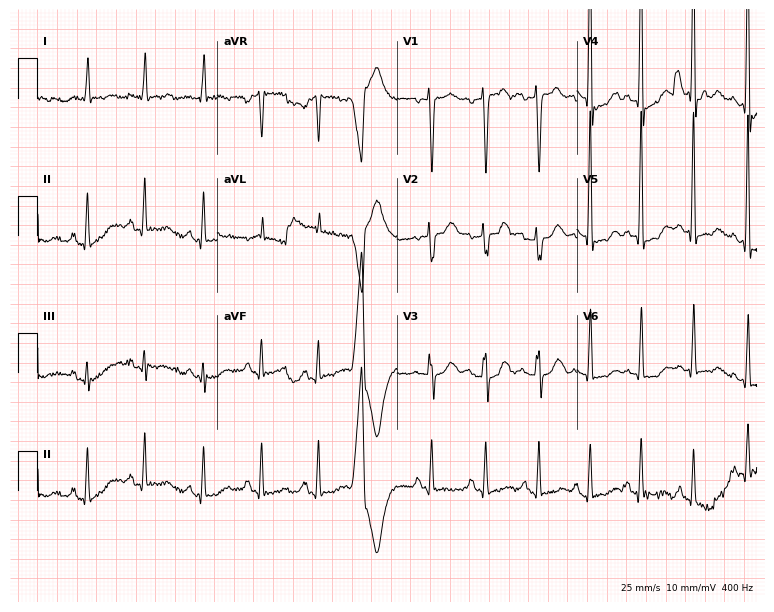
Resting 12-lead electrocardiogram. Patient: a 50-year-old female. None of these six findings is recorded: first-degree AV block, right bundle branch block, left bundle branch block, sinus bradycardia, atrial fibrillation, sinus tachycardia. Findings outside these six are not listed.